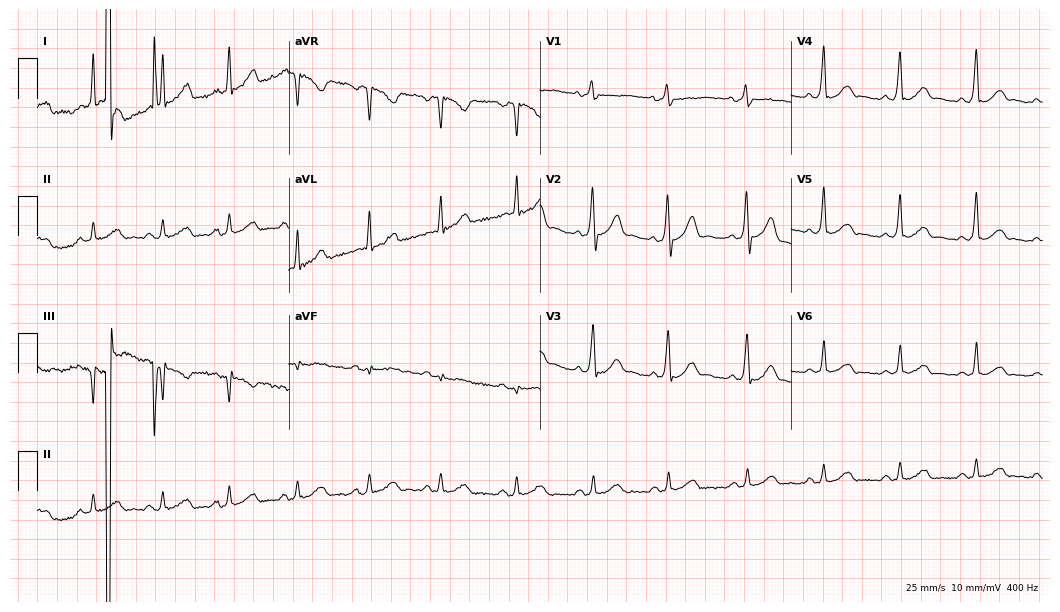
12-lead ECG from a man, 34 years old. Screened for six findings — first-degree AV block, right bundle branch block (RBBB), left bundle branch block (LBBB), sinus bradycardia, atrial fibrillation (AF), sinus tachycardia — none is recorded.